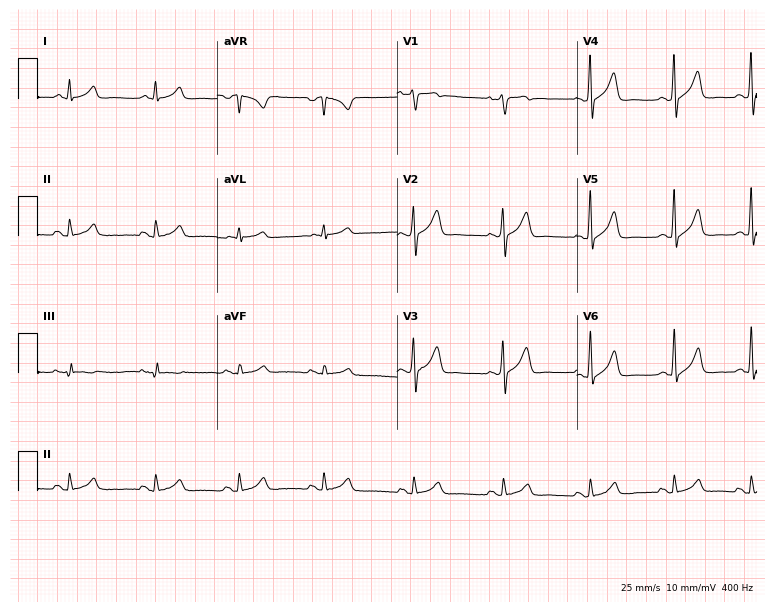
Electrocardiogram (7.3-second recording at 400 Hz), a 54-year-old male patient. Of the six screened findings (first-degree AV block, right bundle branch block, left bundle branch block, sinus bradycardia, atrial fibrillation, sinus tachycardia), none is recorded. Other findings, if any, are not listed.